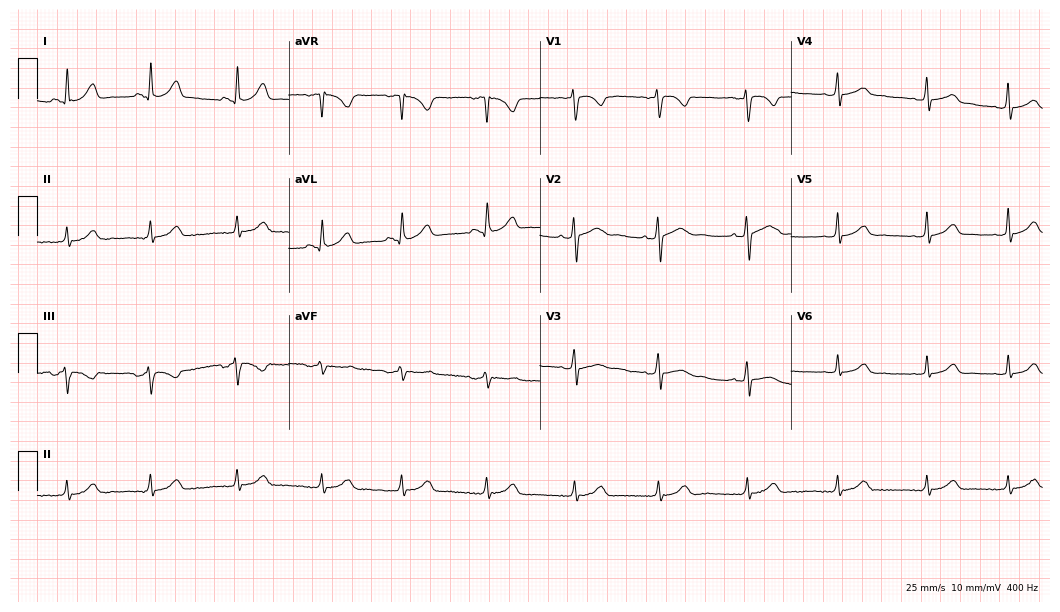
Resting 12-lead electrocardiogram. Patient: a 25-year-old female. Read as a normal ECG.